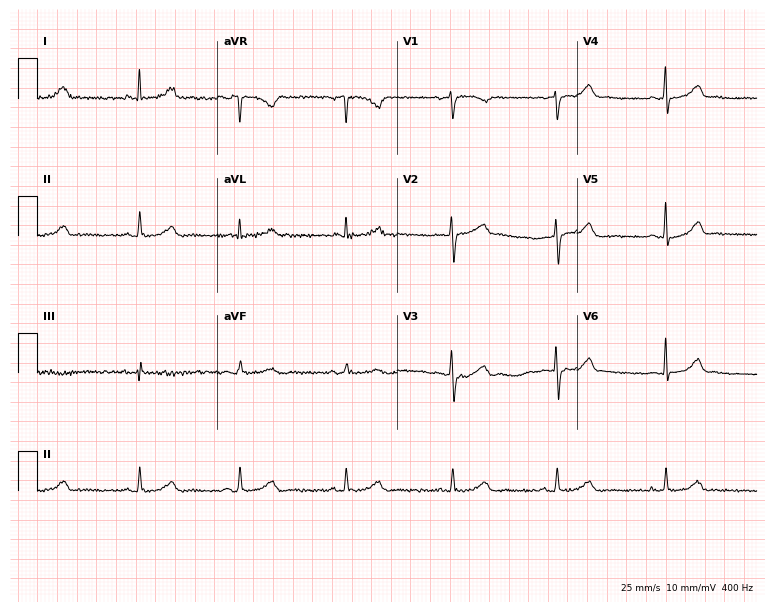
ECG (7.3-second recording at 400 Hz) — a female, 48 years old. Labelled as a normal ECG.